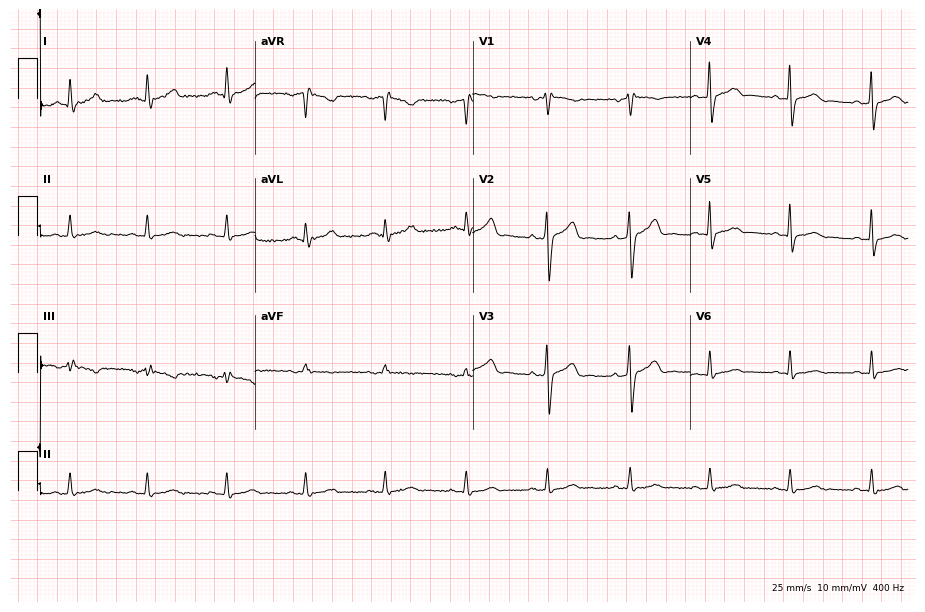
Standard 12-lead ECG recorded from a male patient, 54 years old. Read as a normal ECG.